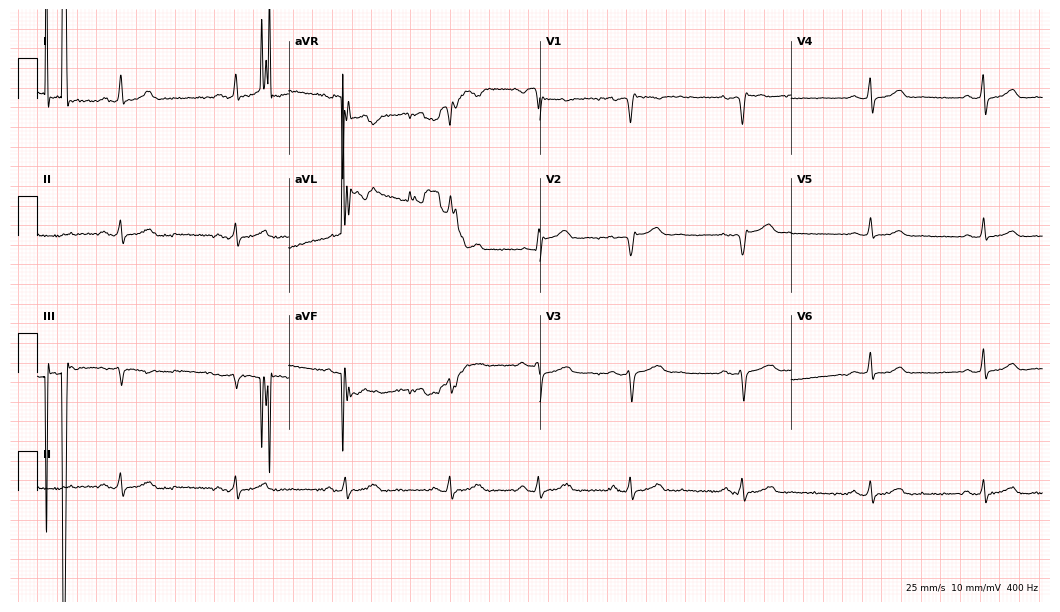
ECG (10.2-second recording at 400 Hz) — a 76-year-old male. Screened for six findings — first-degree AV block, right bundle branch block (RBBB), left bundle branch block (LBBB), sinus bradycardia, atrial fibrillation (AF), sinus tachycardia — none is recorded.